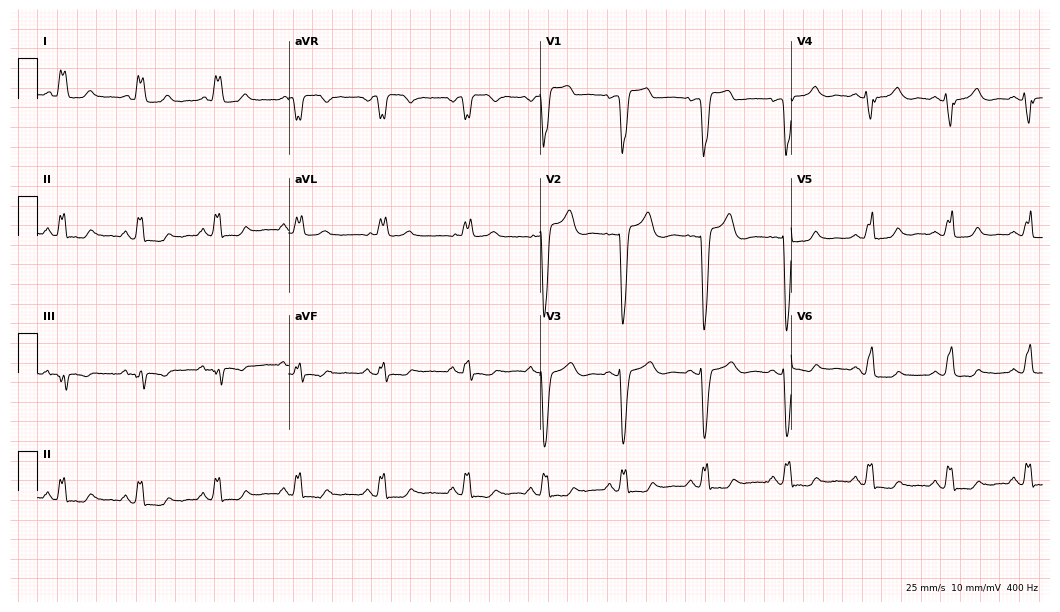
Resting 12-lead electrocardiogram (10.2-second recording at 400 Hz). Patient: a female, 53 years old. The tracing shows left bundle branch block.